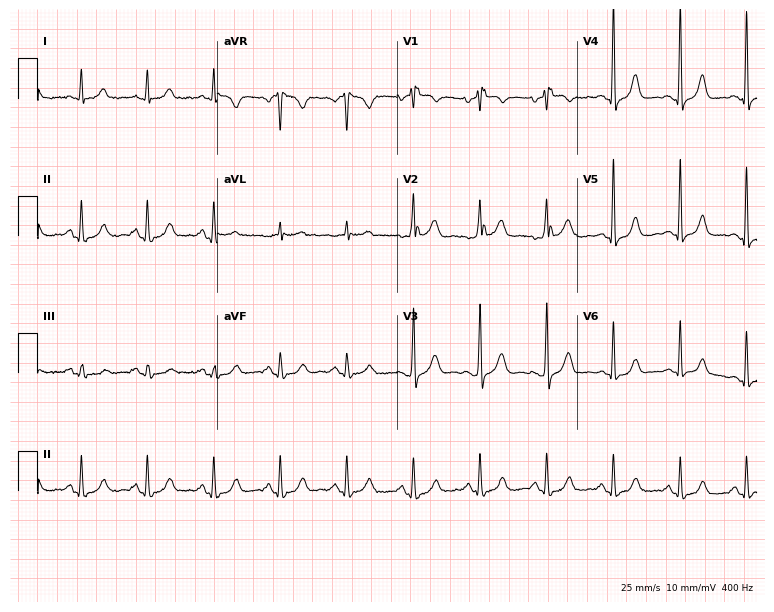
ECG (7.3-second recording at 400 Hz) — a woman, 76 years old. Screened for six findings — first-degree AV block, right bundle branch block, left bundle branch block, sinus bradycardia, atrial fibrillation, sinus tachycardia — none is recorded. Only these six findings were labelled.